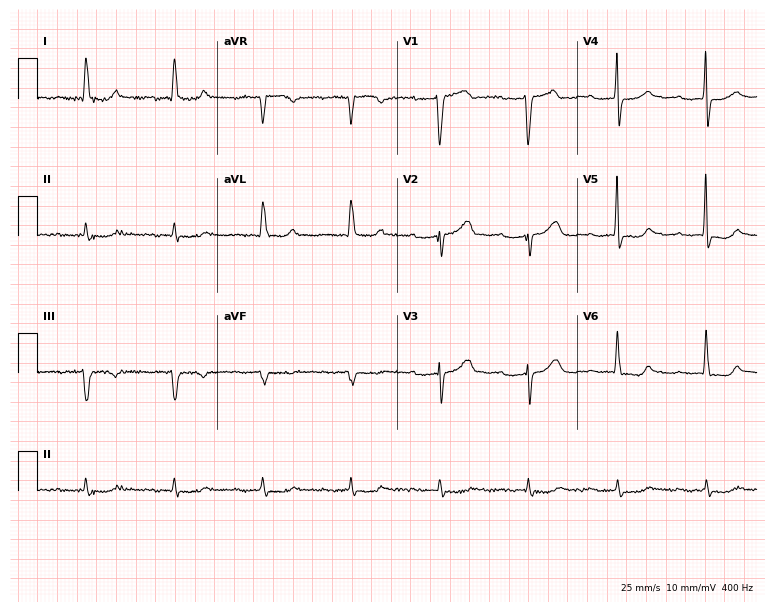
ECG (7.3-second recording at 400 Hz) — an 81-year-old female patient. Findings include first-degree AV block.